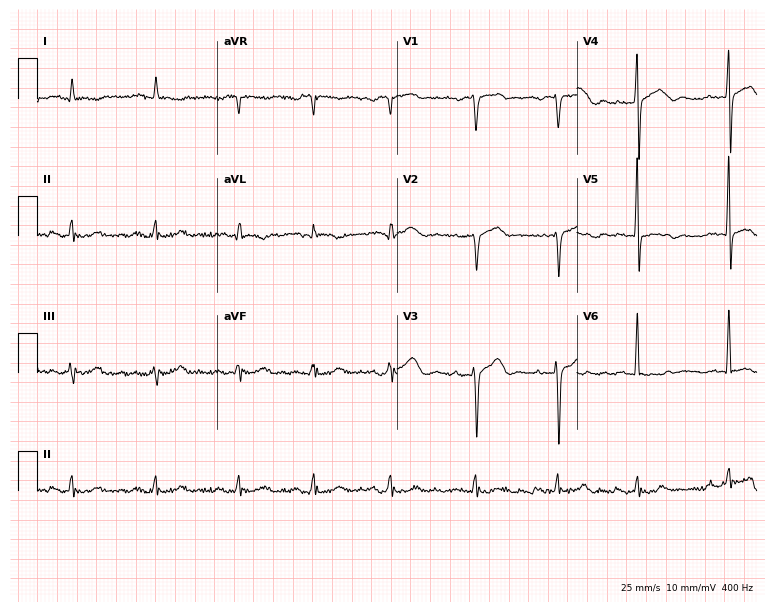
ECG (7.3-second recording at 400 Hz) — a male, 74 years old. Labelled as a normal ECG.